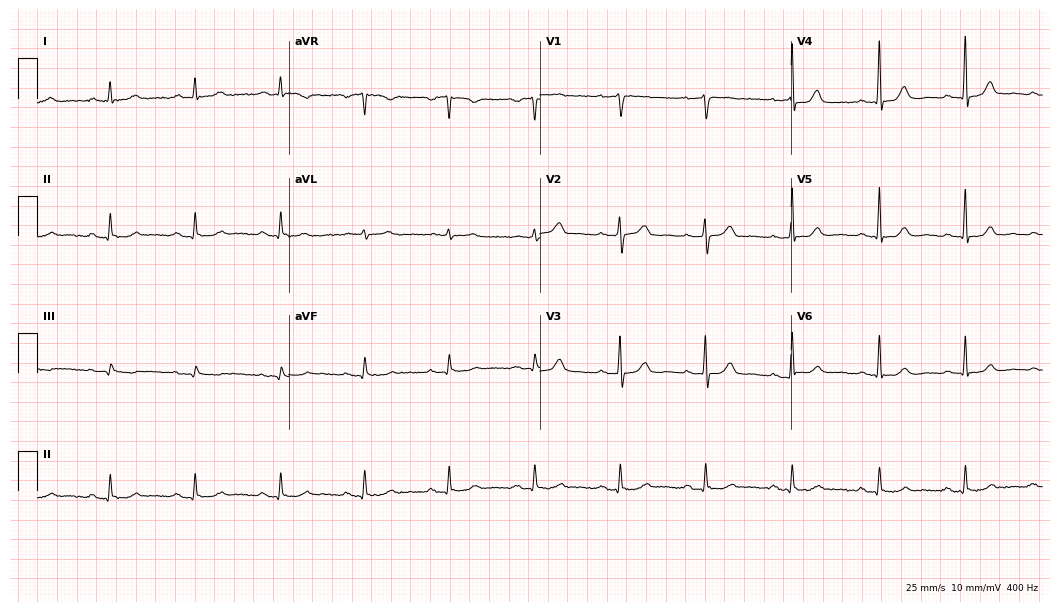
Resting 12-lead electrocardiogram. Patient: a male, 78 years old. Read as a normal ECG.